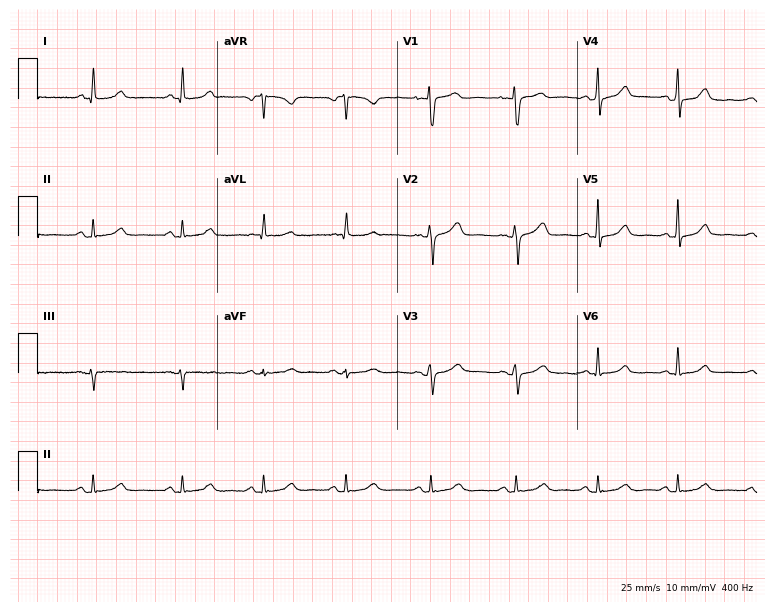
12-lead ECG from a 45-year-old female. Recorded interpretation: within normal limits.